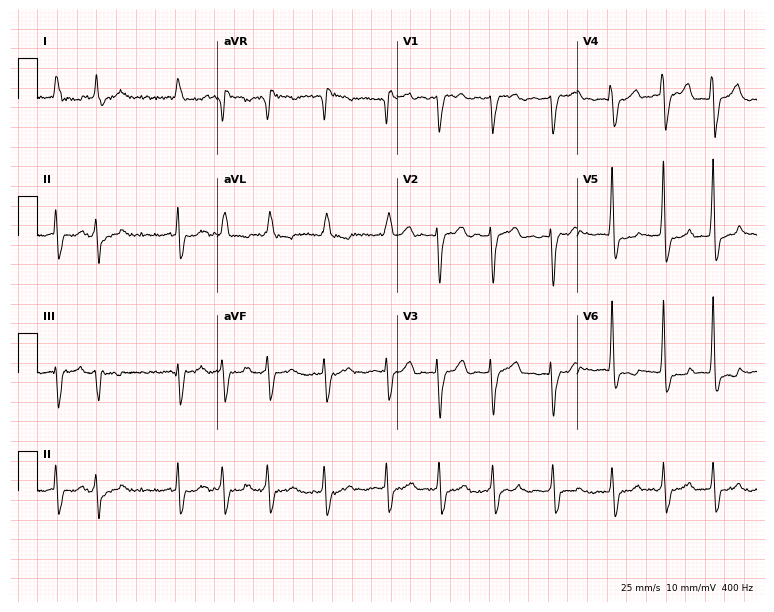
12-lead ECG (7.3-second recording at 400 Hz) from a 62-year-old female patient. Findings include atrial fibrillation.